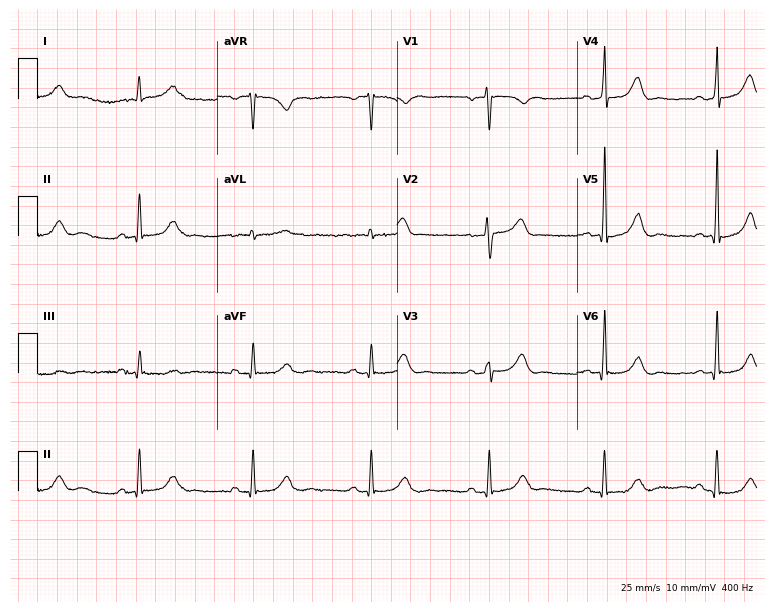
Standard 12-lead ECG recorded from a 58-year-old man (7.3-second recording at 400 Hz). None of these six findings is recorded: first-degree AV block, right bundle branch block (RBBB), left bundle branch block (LBBB), sinus bradycardia, atrial fibrillation (AF), sinus tachycardia.